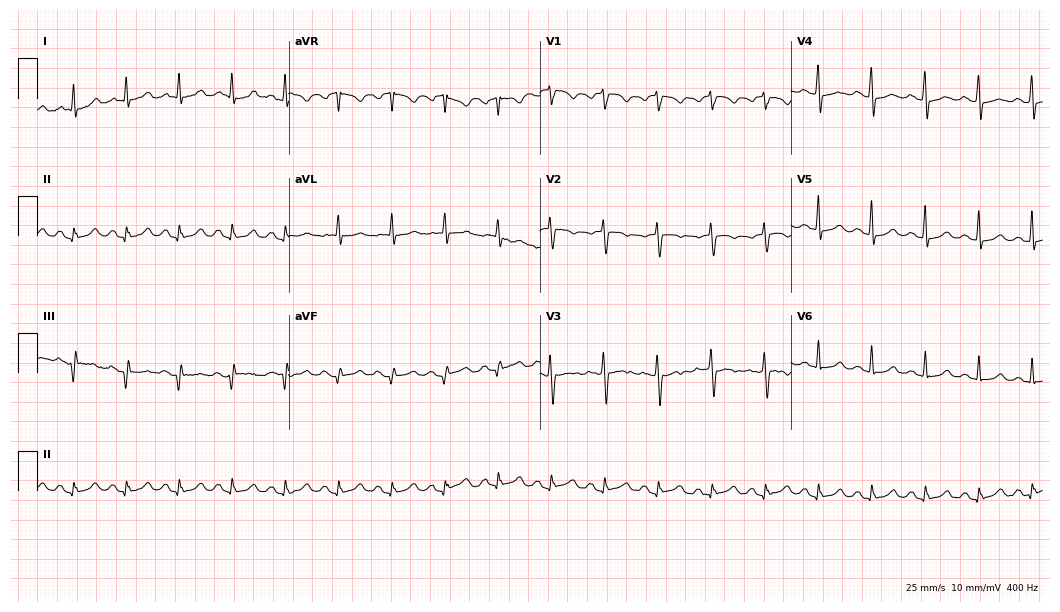
Resting 12-lead electrocardiogram (10.2-second recording at 400 Hz). Patient: a 58-year-old woman. The tracing shows sinus tachycardia (a sinus rate of 100 beats per minute or more).